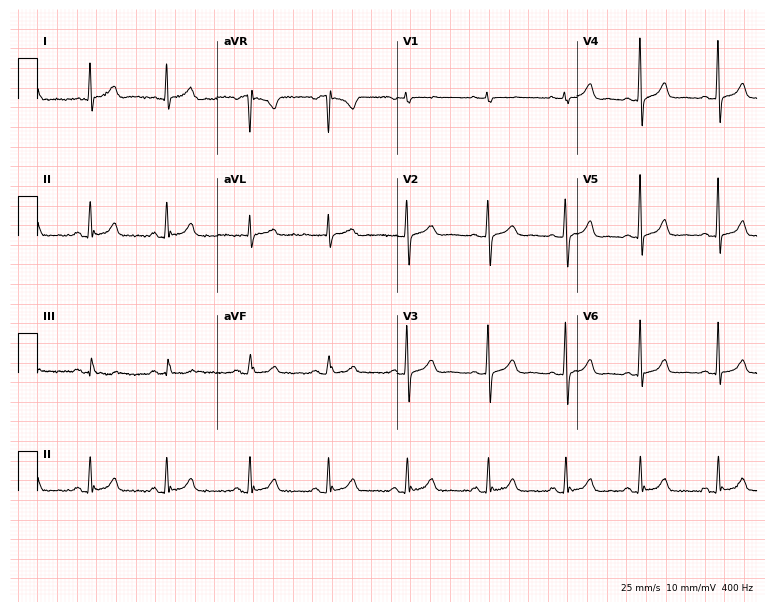
Resting 12-lead electrocardiogram (7.3-second recording at 400 Hz). Patient: a 60-year-old female. Read as a normal ECG.